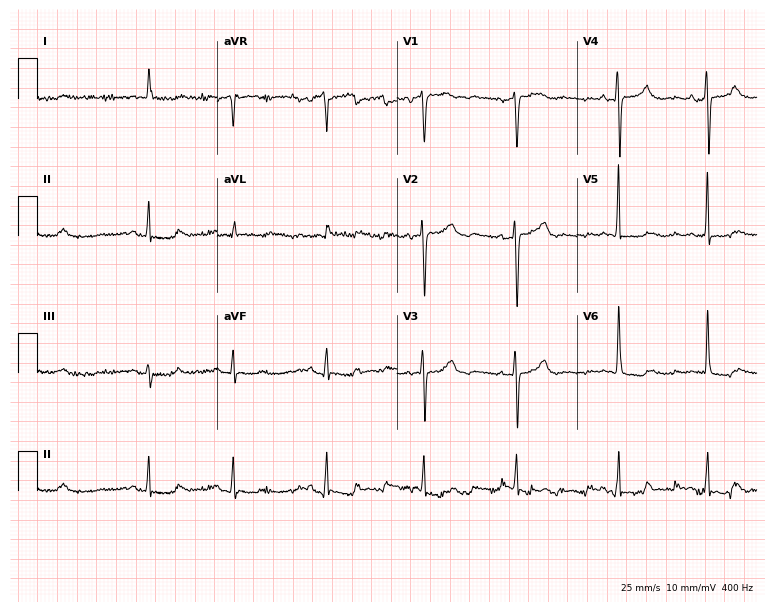
Standard 12-lead ECG recorded from a female patient, 80 years old. None of these six findings is recorded: first-degree AV block, right bundle branch block, left bundle branch block, sinus bradycardia, atrial fibrillation, sinus tachycardia.